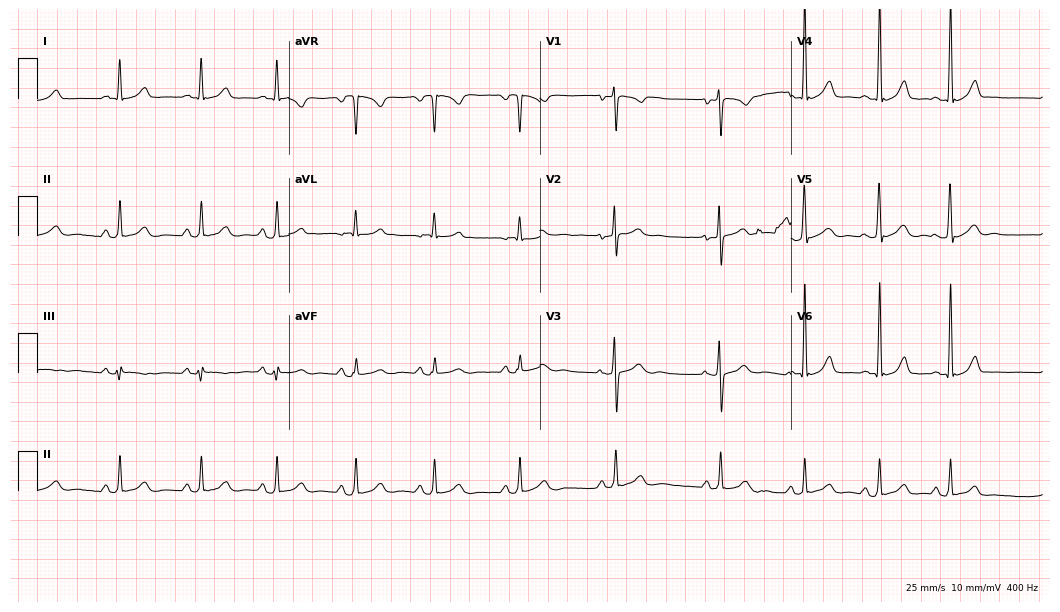
12-lead ECG from a male patient, 28 years old (10.2-second recording at 400 Hz). No first-degree AV block, right bundle branch block (RBBB), left bundle branch block (LBBB), sinus bradycardia, atrial fibrillation (AF) or sinus tachycardia recorded for this tracing. Other findings, if any, are not listed.